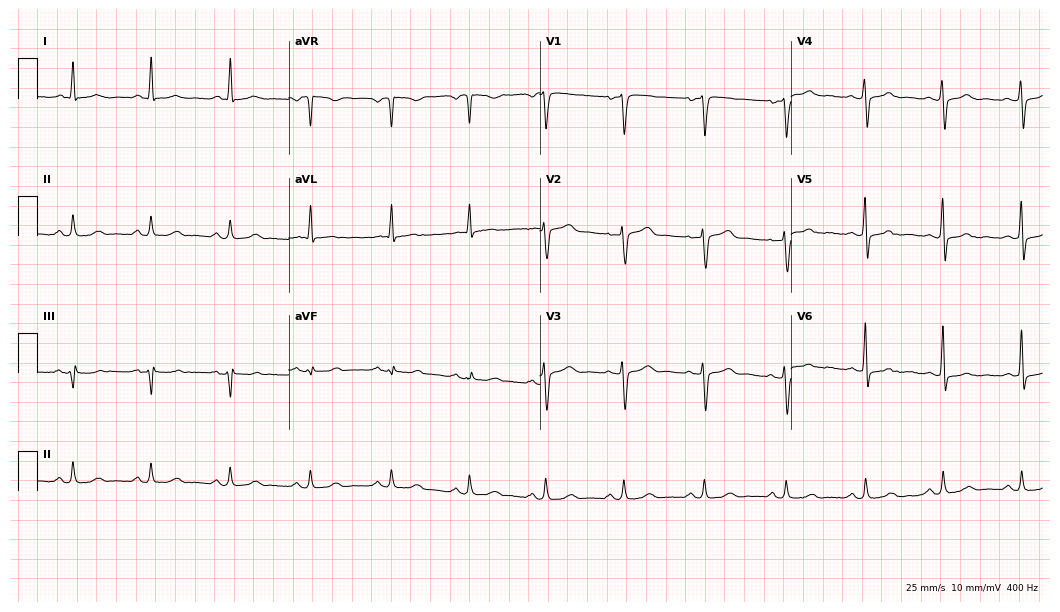
Resting 12-lead electrocardiogram. Patient: a female, 61 years old. Read as a normal ECG.